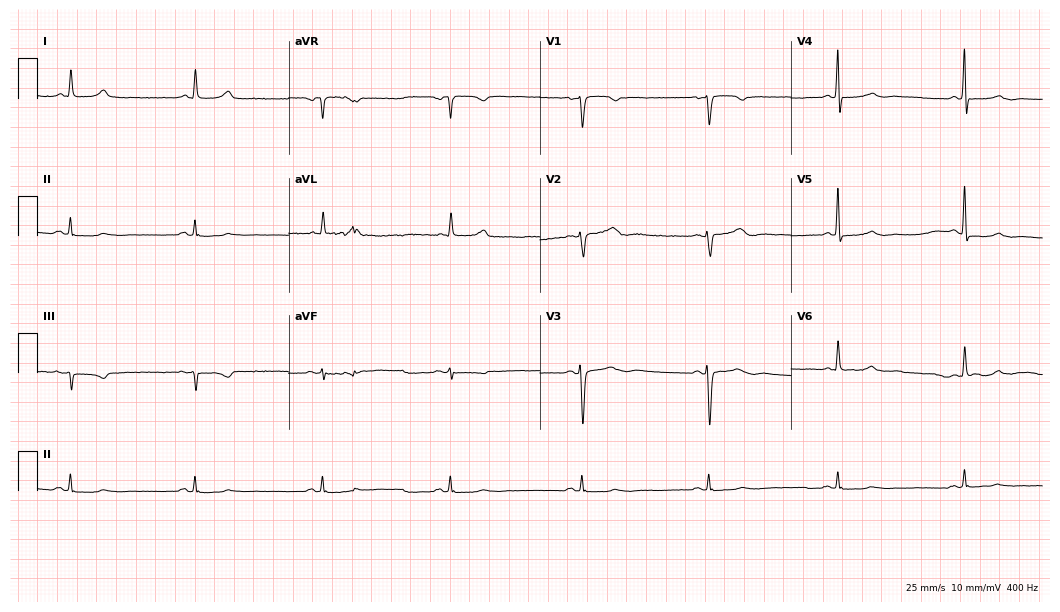
12-lead ECG from a woman, 57 years old. Shows sinus bradycardia (a sinus rate of 50 beats per minute or less).